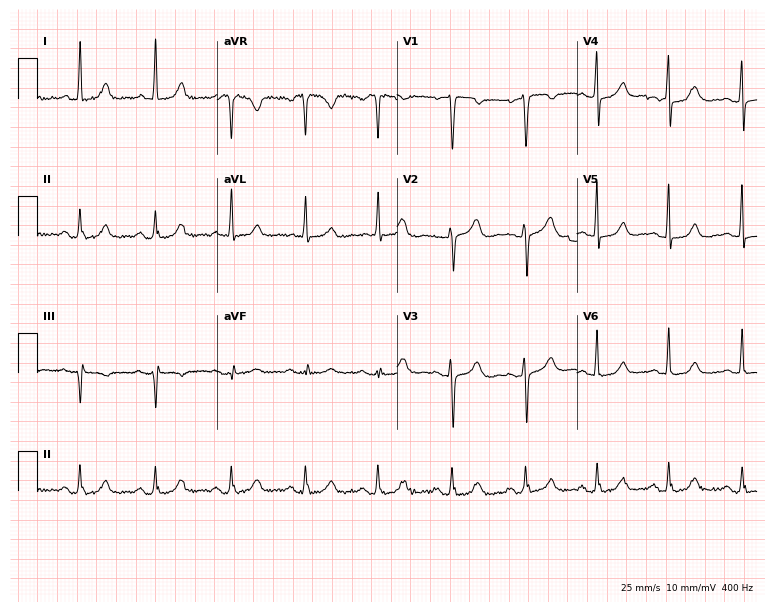
Standard 12-lead ECG recorded from a 47-year-old female patient. Read as a normal ECG.